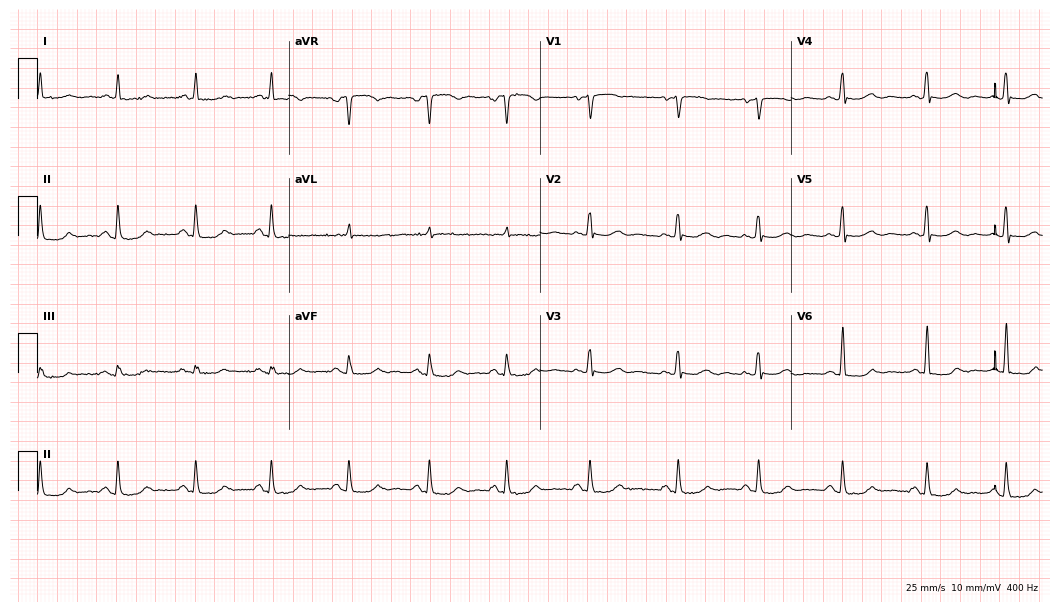
12-lead ECG from a 61-year-old female patient. No first-degree AV block, right bundle branch block, left bundle branch block, sinus bradycardia, atrial fibrillation or sinus tachycardia recorded for this tracing. Only these six findings were labelled.